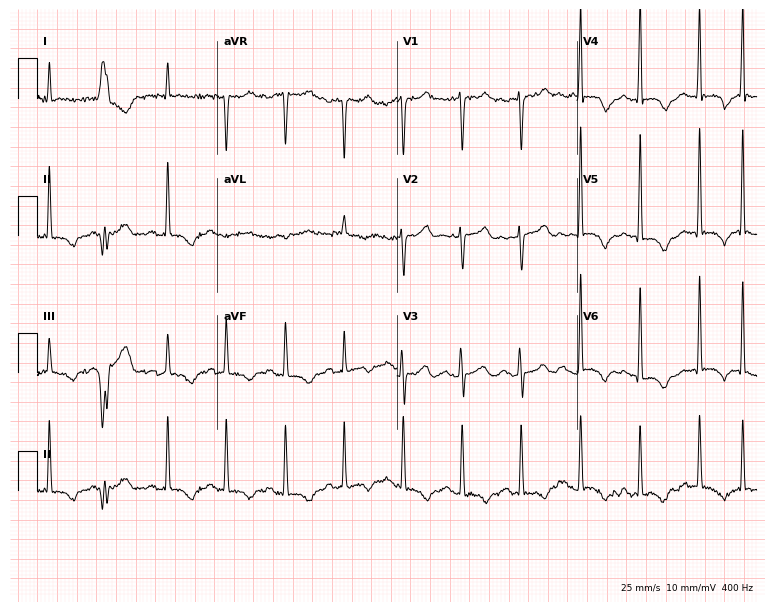
12-lead ECG from an 85-year-old male (7.3-second recording at 400 Hz). No first-degree AV block, right bundle branch block, left bundle branch block, sinus bradycardia, atrial fibrillation or sinus tachycardia recorded for this tracing.